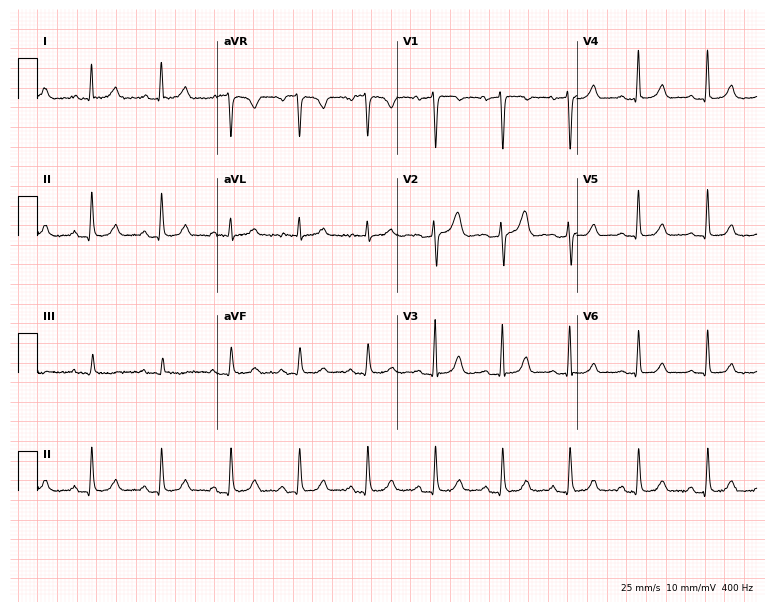
Standard 12-lead ECG recorded from a 47-year-old man (7.3-second recording at 400 Hz). Read as a normal ECG.